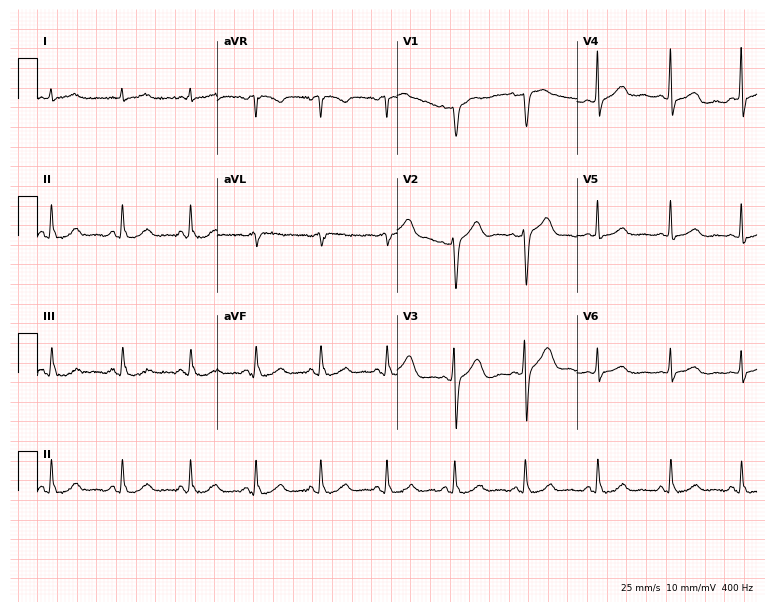
Standard 12-lead ECG recorded from a 71-year-old male patient. None of these six findings is recorded: first-degree AV block, right bundle branch block, left bundle branch block, sinus bradycardia, atrial fibrillation, sinus tachycardia. Findings outside these six are not listed.